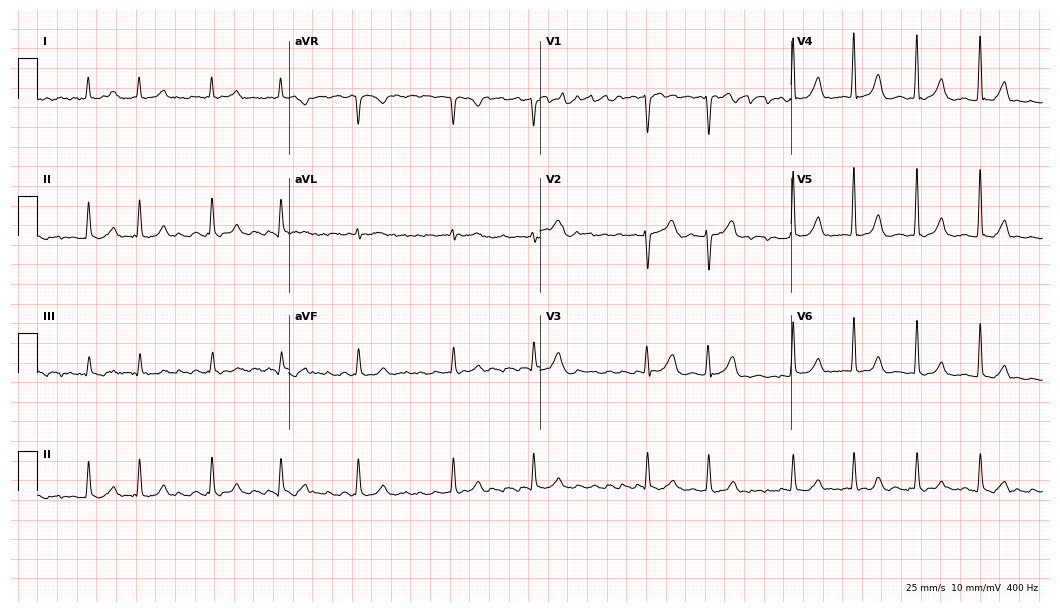
Standard 12-lead ECG recorded from a female patient, 73 years old (10.2-second recording at 400 Hz). The tracing shows atrial fibrillation.